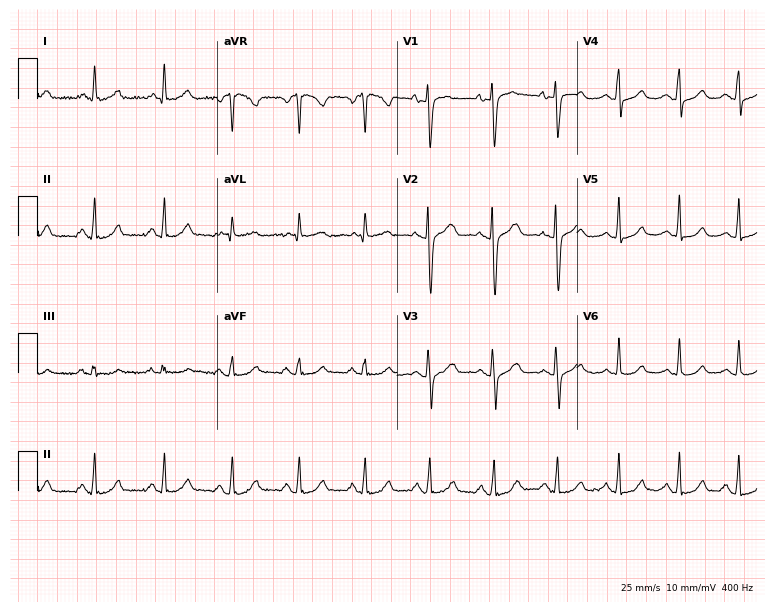
ECG (7.3-second recording at 400 Hz) — a female patient, 45 years old. Labelled as a normal ECG.